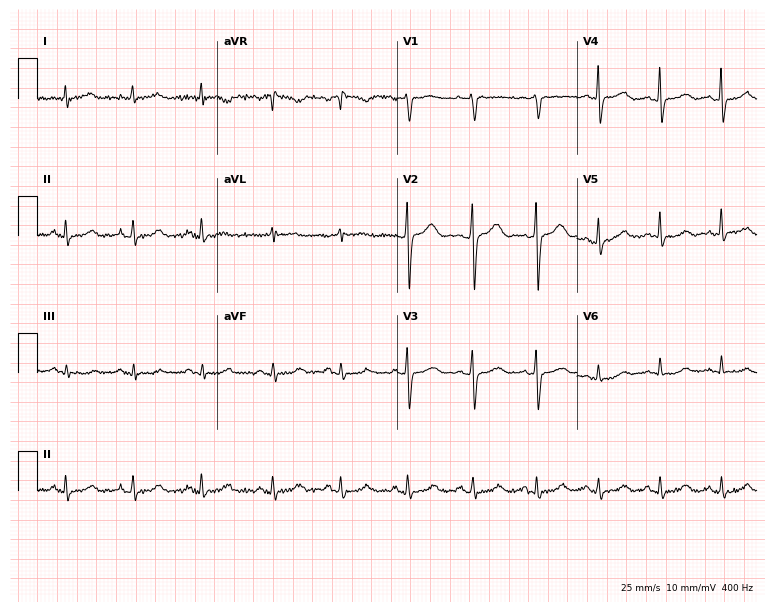
Electrocardiogram (7.3-second recording at 400 Hz), a female patient, 38 years old. Overall reading on record: normal ECG.